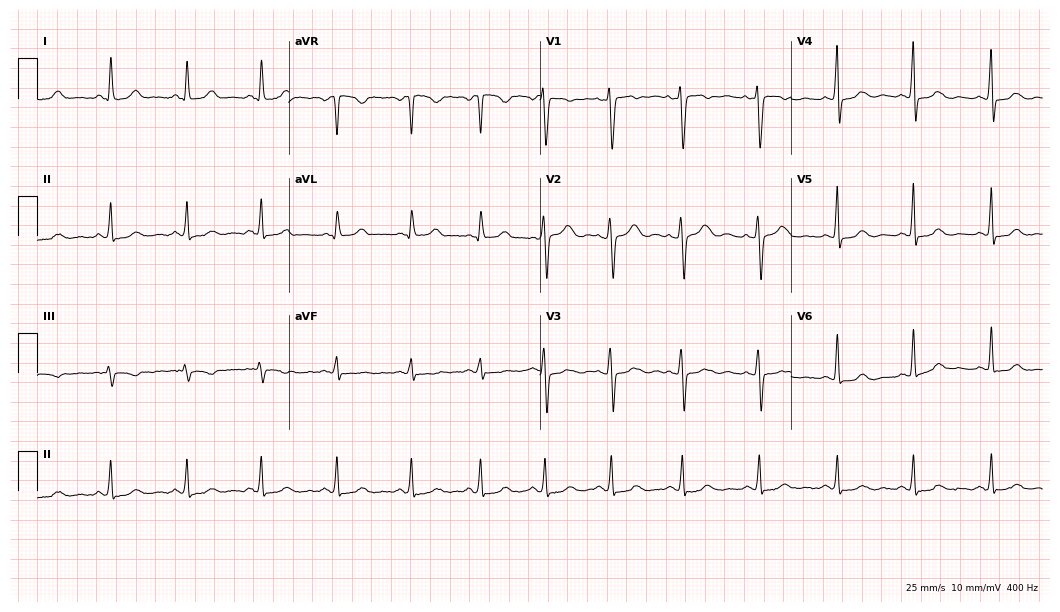
Electrocardiogram, a female patient, 45 years old. Overall reading on record: normal ECG.